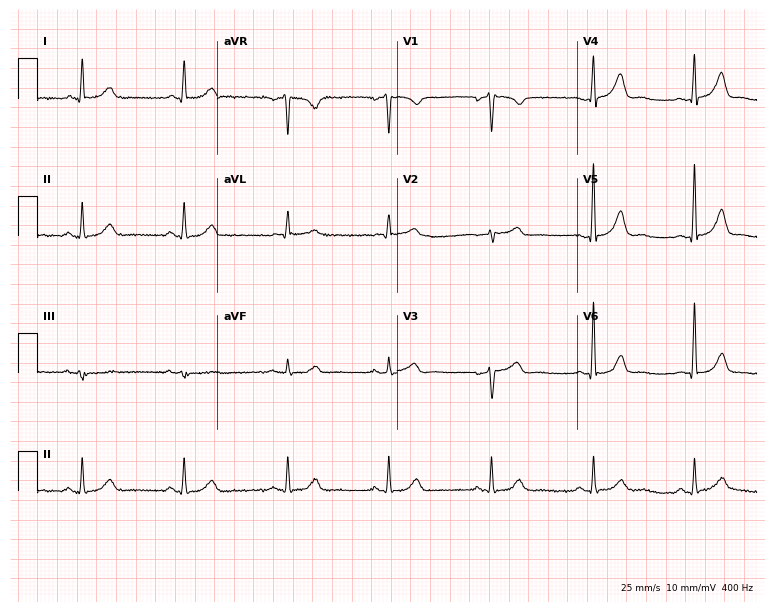
Electrocardiogram, an 85-year-old man. Of the six screened findings (first-degree AV block, right bundle branch block (RBBB), left bundle branch block (LBBB), sinus bradycardia, atrial fibrillation (AF), sinus tachycardia), none is recorded.